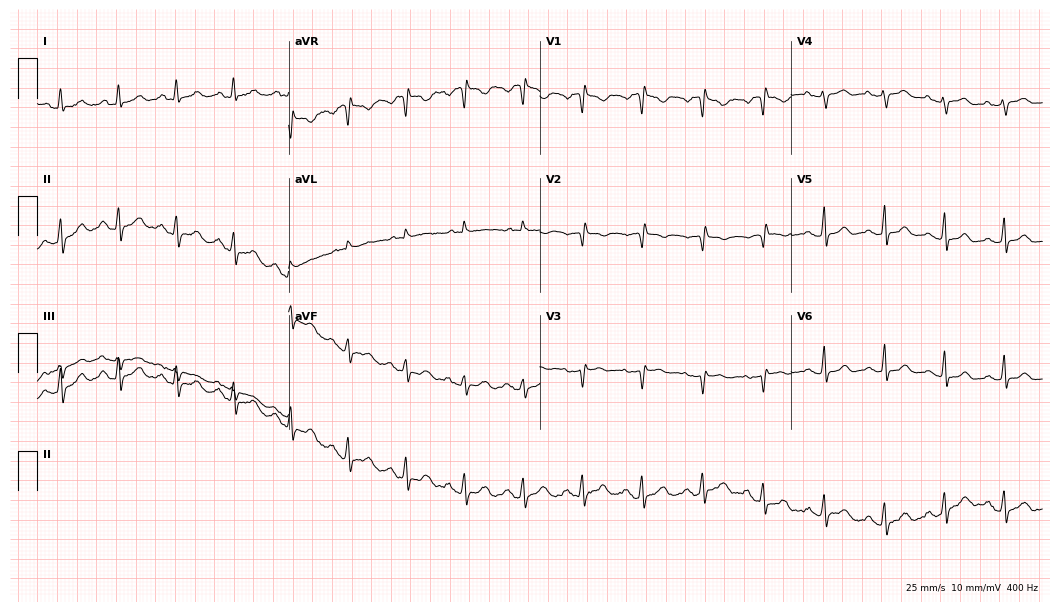
Resting 12-lead electrocardiogram (10.2-second recording at 400 Hz). Patient: a female, 51 years old. None of these six findings is recorded: first-degree AV block, right bundle branch block (RBBB), left bundle branch block (LBBB), sinus bradycardia, atrial fibrillation (AF), sinus tachycardia.